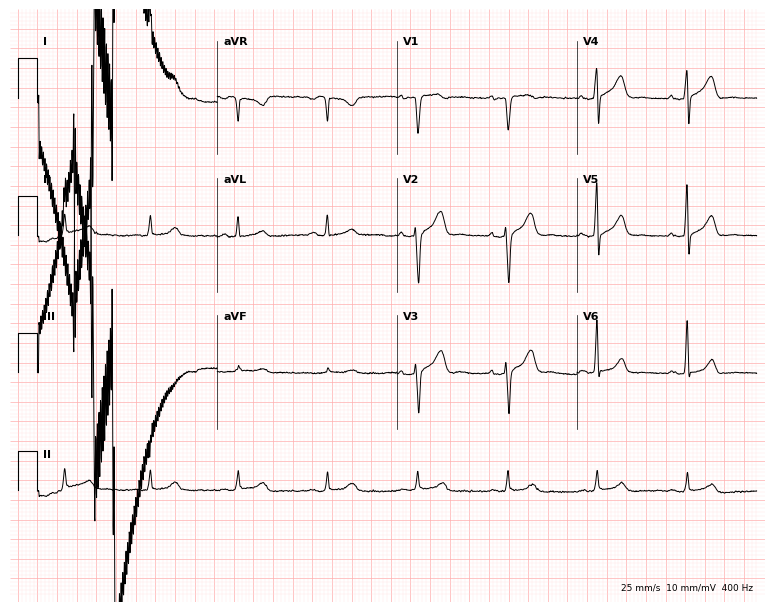
Electrocardiogram (7.3-second recording at 400 Hz), a 50-year-old male. Of the six screened findings (first-degree AV block, right bundle branch block (RBBB), left bundle branch block (LBBB), sinus bradycardia, atrial fibrillation (AF), sinus tachycardia), none is recorded. Findings outside these six are not listed.